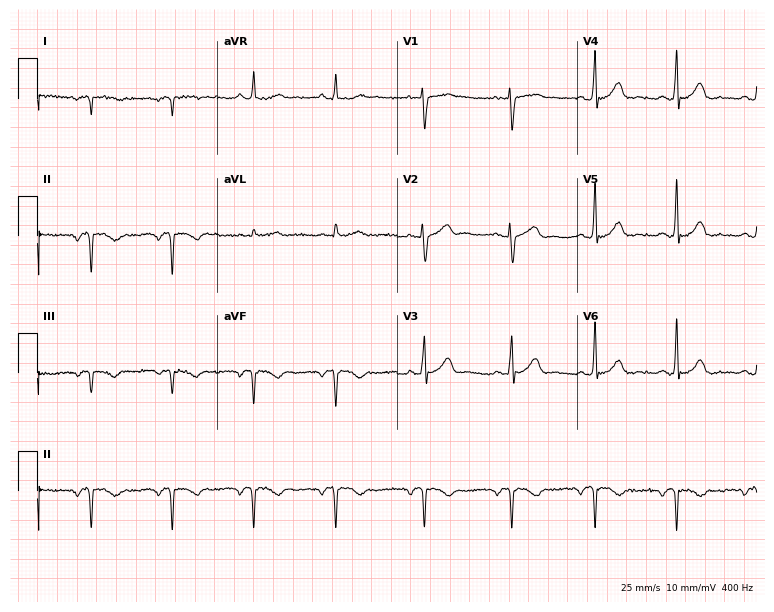
Resting 12-lead electrocardiogram. Patient: a 35-year-old woman. None of these six findings is recorded: first-degree AV block, right bundle branch block, left bundle branch block, sinus bradycardia, atrial fibrillation, sinus tachycardia.